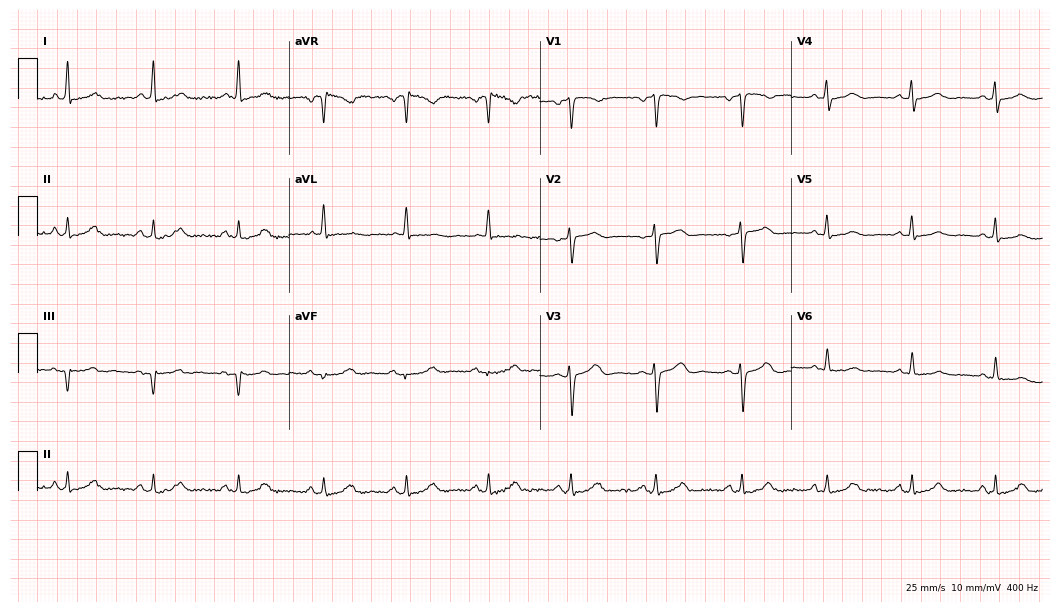
Resting 12-lead electrocardiogram (10.2-second recording at 400 Hz). Patient: a 46-year-old woman. Read as a normal ECG.